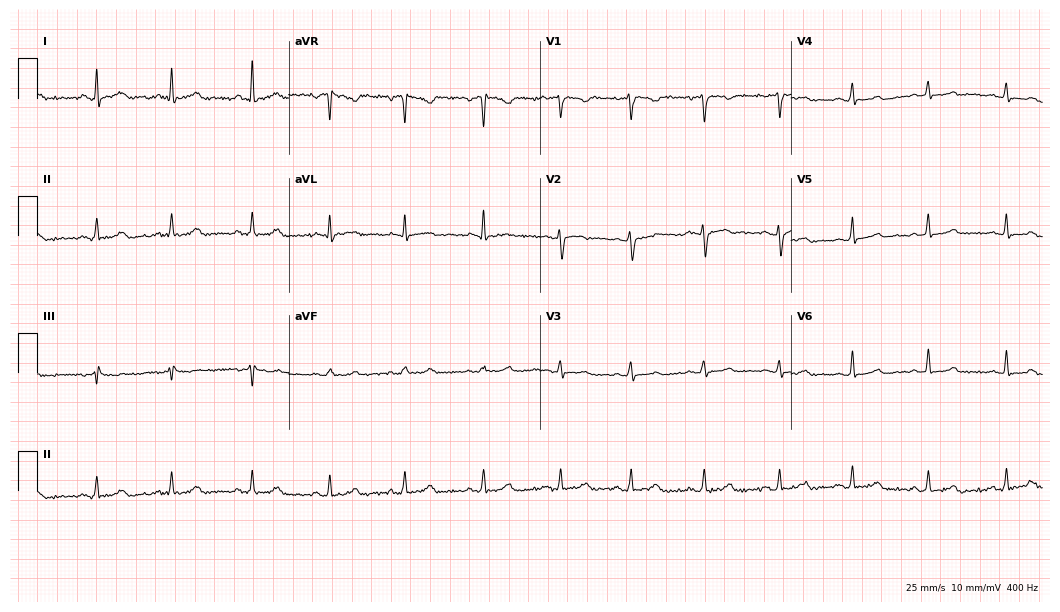
12-lead ECG from a female patient, 20 years old (10.2-second recording at 400 Hz). Recorded interpretation: within normal limits.